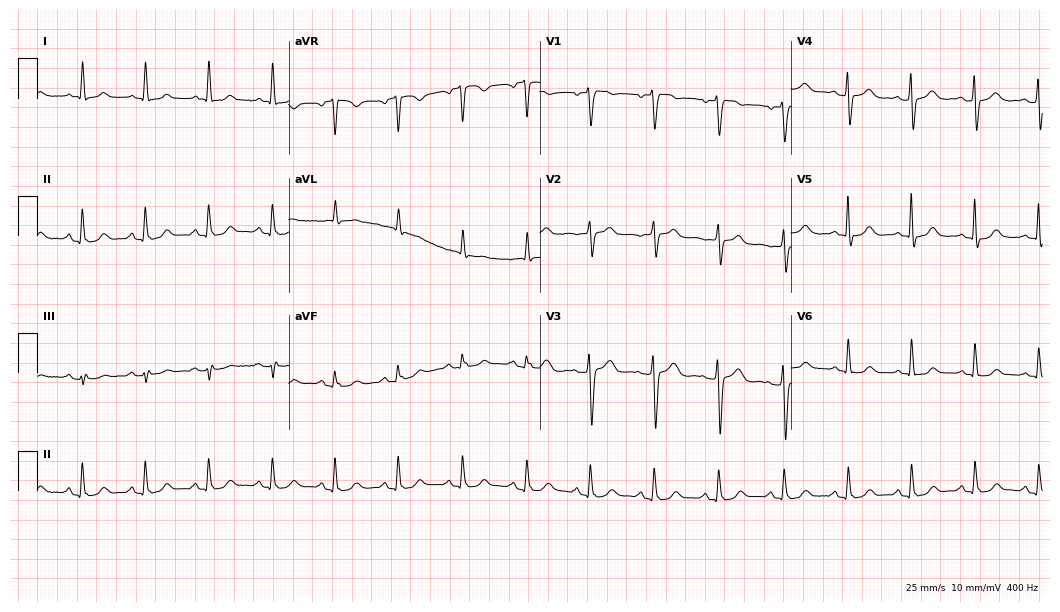
ECG — a woman, 71 years old. Labelled as a normal ECG.